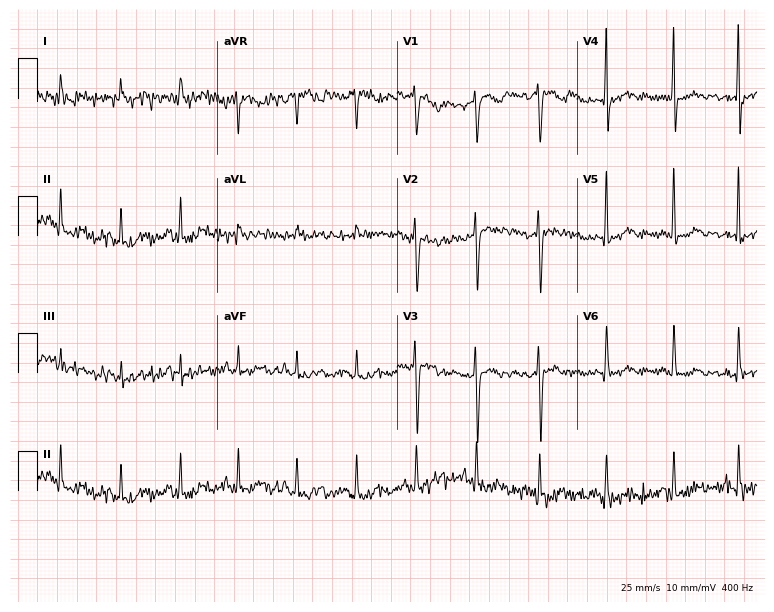
ECG (7.3-second recording at 400 Hz) — a 36-year-old female. Screened for six findings — first-degree AV block, right bundle branch block (RBBB), left bundle branch block (LBBB), sinus bradycardia, atrial fibrillation (AF), sinus tachycardia — none is recorded.